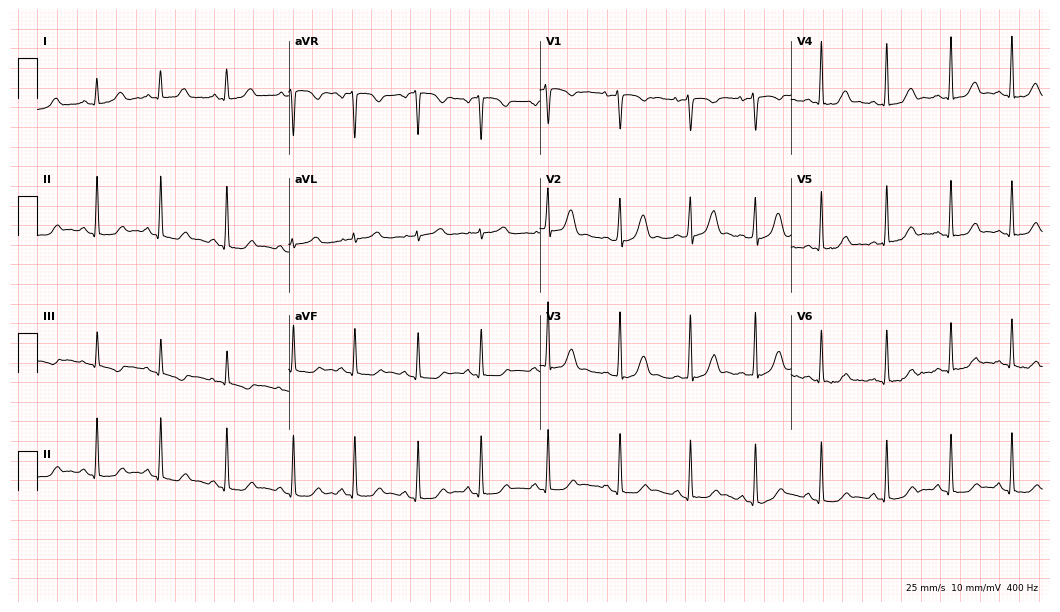
Electrocardiogram, a woman, 25 years old. Overall reading on record: normal ECG.